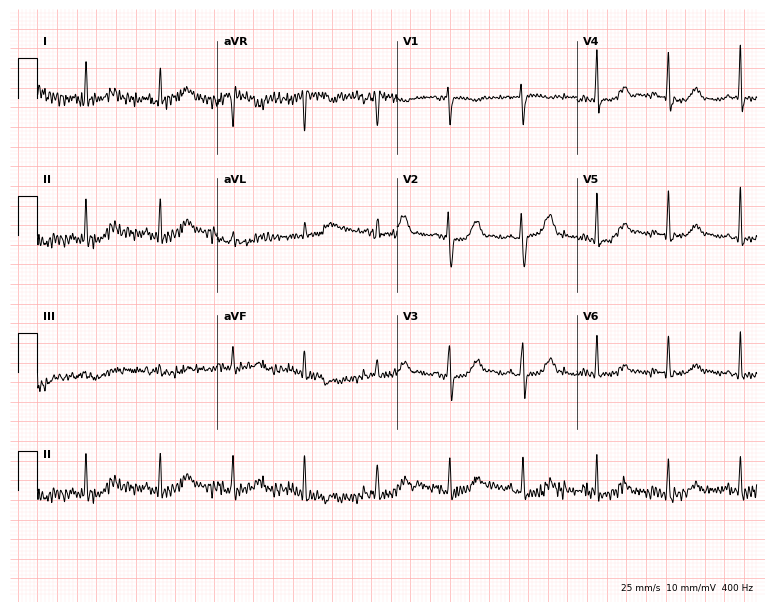
Standard 12-lead ECG recorded from a female, 68 years old. None of these six findings is recorded: first-degree AV block, right bundle branch block, left bundle branch block, sinus bradycardia, atrial fibrillation, sinus tachycardia. Findings outside these six are not listed.